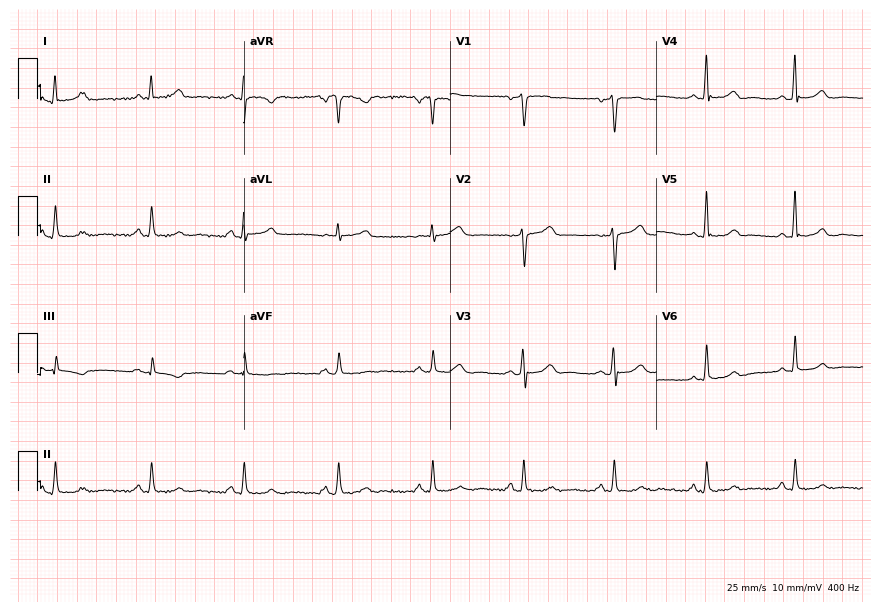
Resting 12-lead electrocardiogram. Patient: a female, 55 years old. Read as a normal ECG.